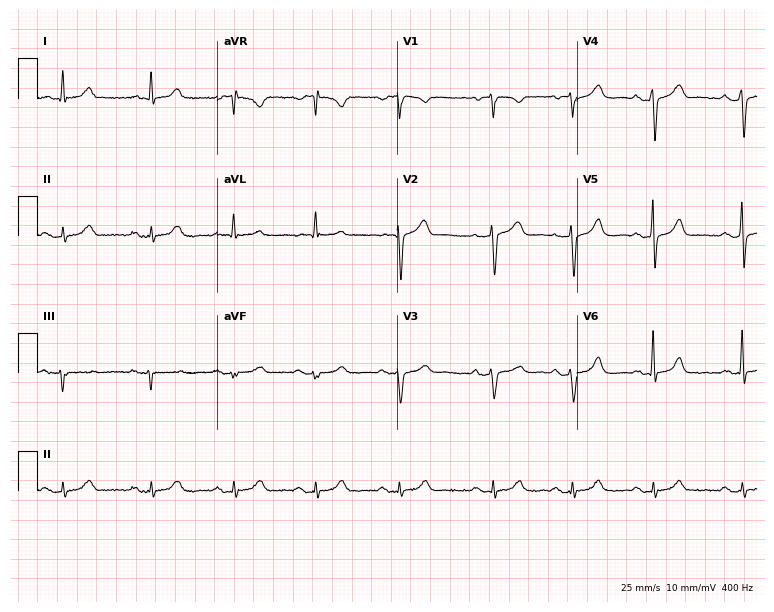
Resting 12-lead electrocardiogram. Patient: a man, 84 years old. None of these six findings is recorded: first-degree AV block, right bundle branch block, left bundle branch block, sinus bradycardia, atrial fibrillation, sinus tachycardia.